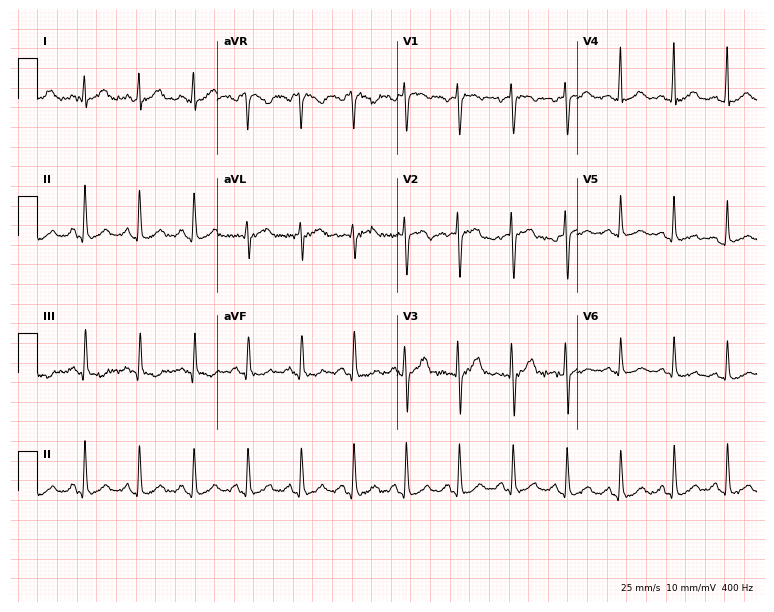
Standard 12-lead ECG recorded from a 38-year-old male patient (7.3-second recording at 400 Hz). The tracing shows sinus tachycardia (a sinus rate of 100 beats per minute or more).